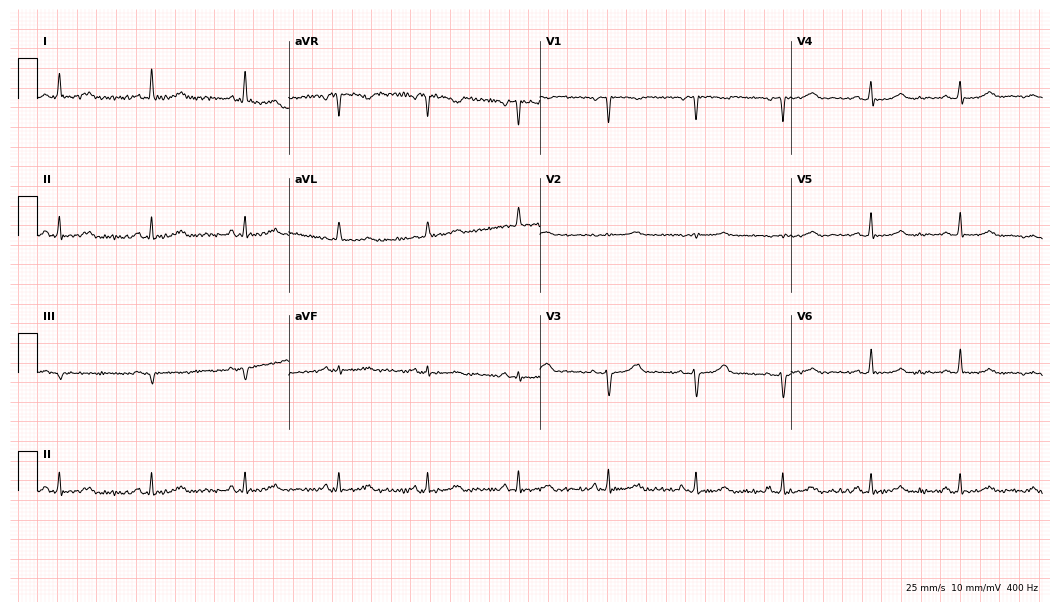
12-lead ECG from a female, 48 years old (10.2-second recording at 400 Hz). Recorded interpretation: within normal limits.